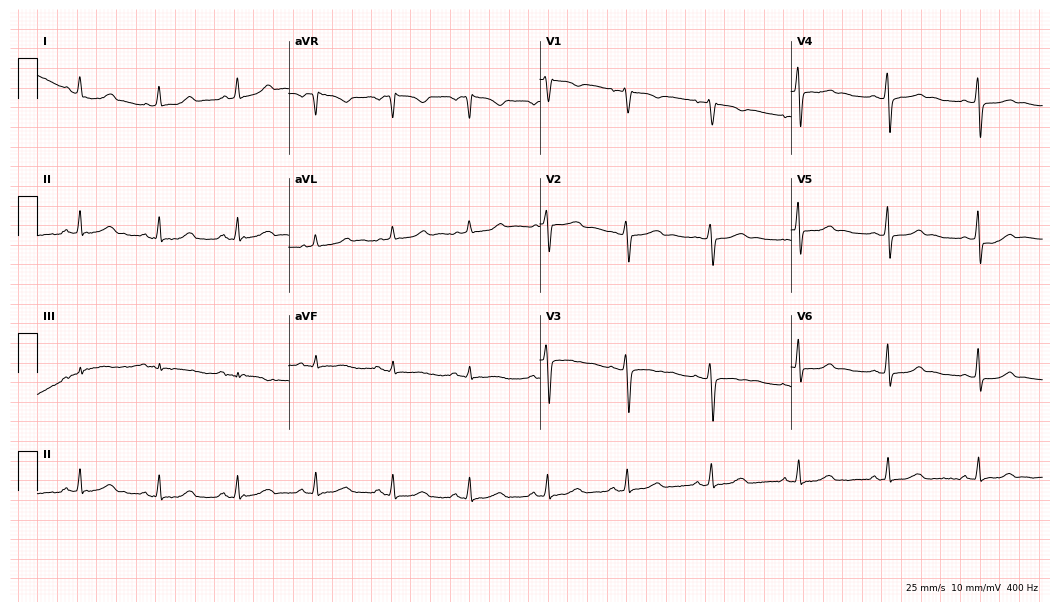
Standard 12-lead ECG recorded from a female, 42 years old (10.2-second recording at 400 Hz). Read as a normal ECG.